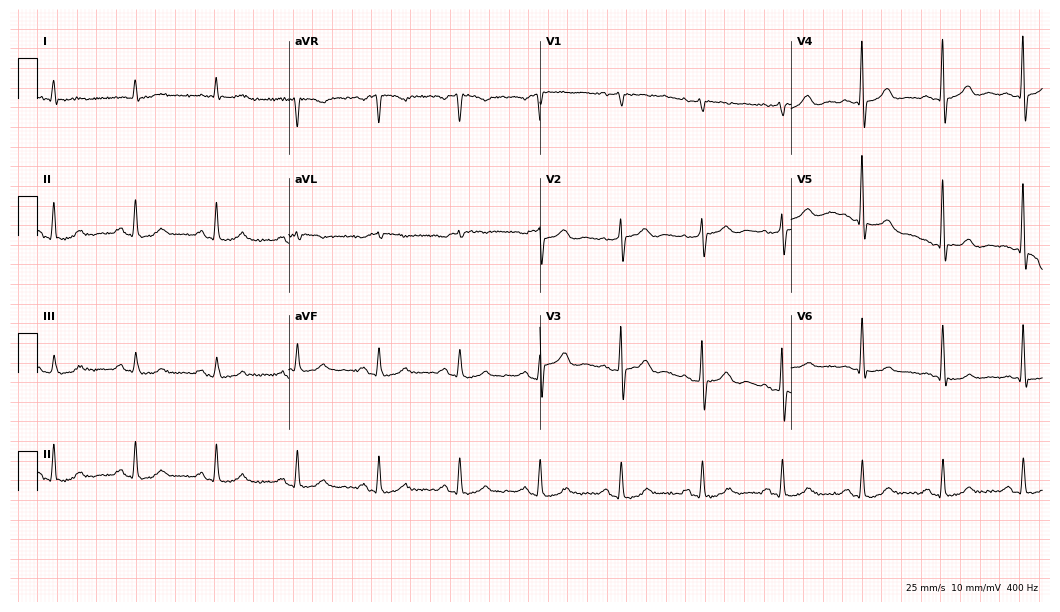
12-lead ECG from a male patient, 75 years old. Labelled as a normal ECG.